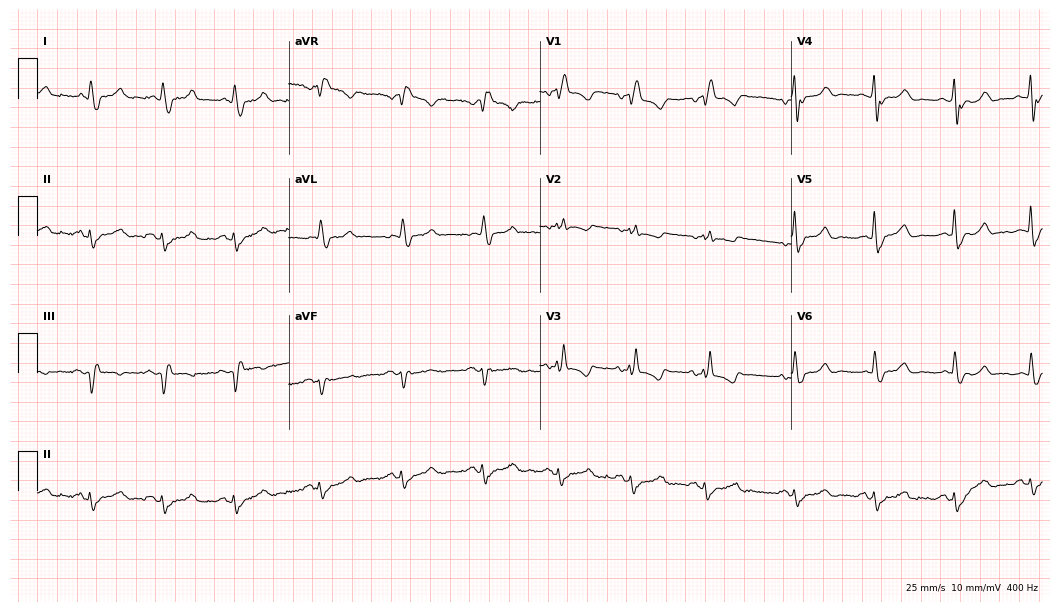
12-lead ECG from a woman, 79 years old. Shows right bundle branch block (RBBB).